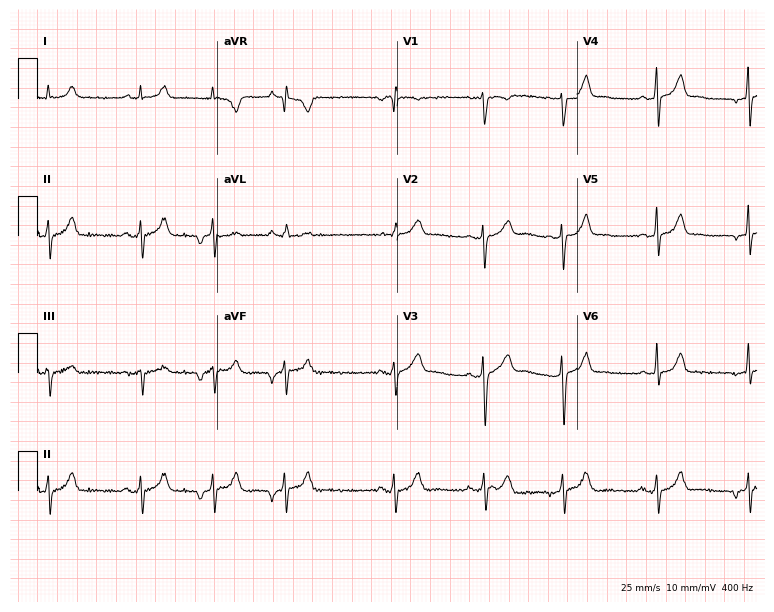
ECG (7.3-second recording at 400 Hz) — a 17-year-old female patient. Screened for six findings — first-degree AV block, right bundle branch block, left bundle branch block, sinus bradycardia, atrial fibrillation, sinus tachycardia — none is recorded. Only these six findings were labelled.